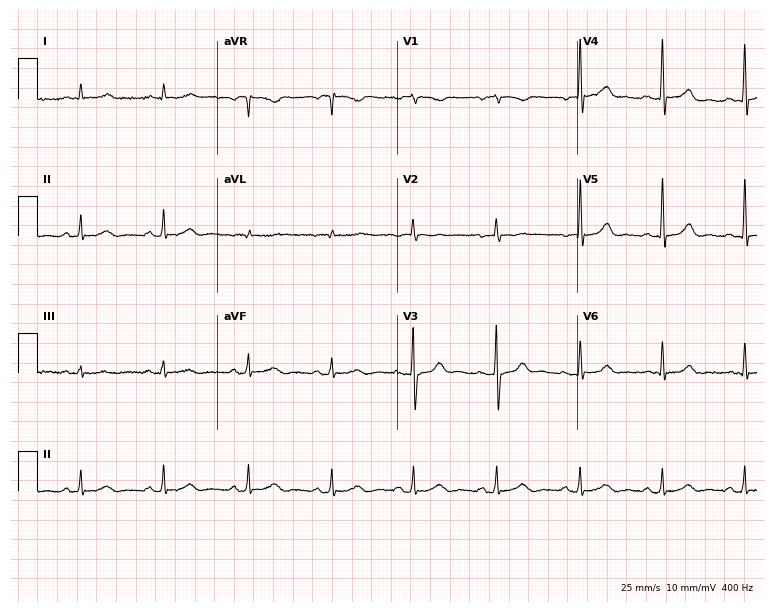
Standard 12-lead ECG recorded from a female patient, 63 years old. Read as a normal ECG.